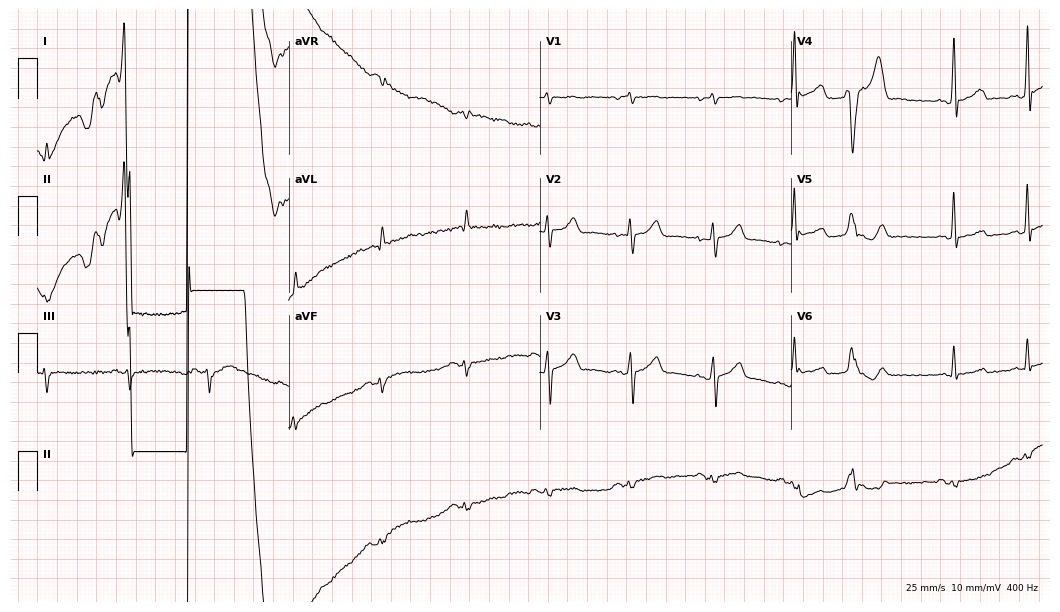
Electrocardiogram, a male, 28 years old. Of the six screened findings (first-degree AV block, right bundle branch block (RBBB), left bundle branch block (LBBB), sinus bradycardia, atrial fibrillation (AF), sinus tachycardia), none is recorded. Findings outside these six are not listed.